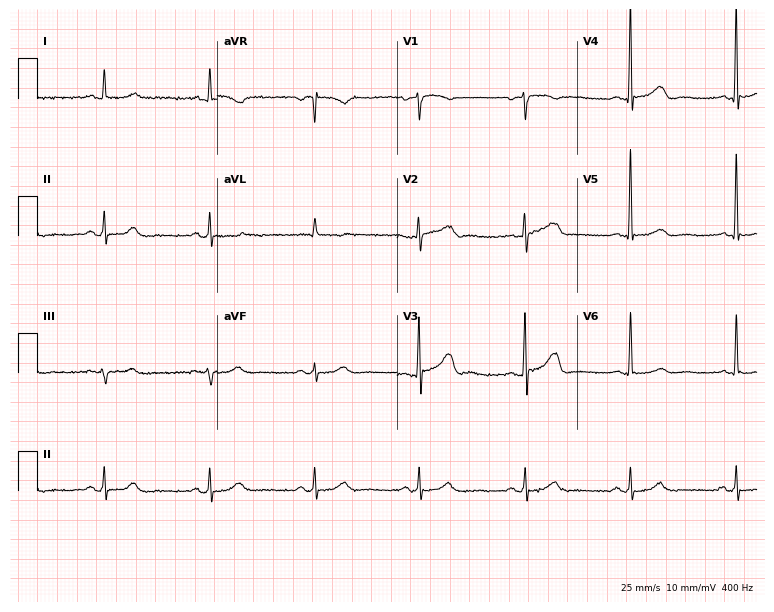
Standard 12-lead ECG recorded from a male patient, 82 years old (7.3-second recording at 400 Hz). Read as a normal ECG.